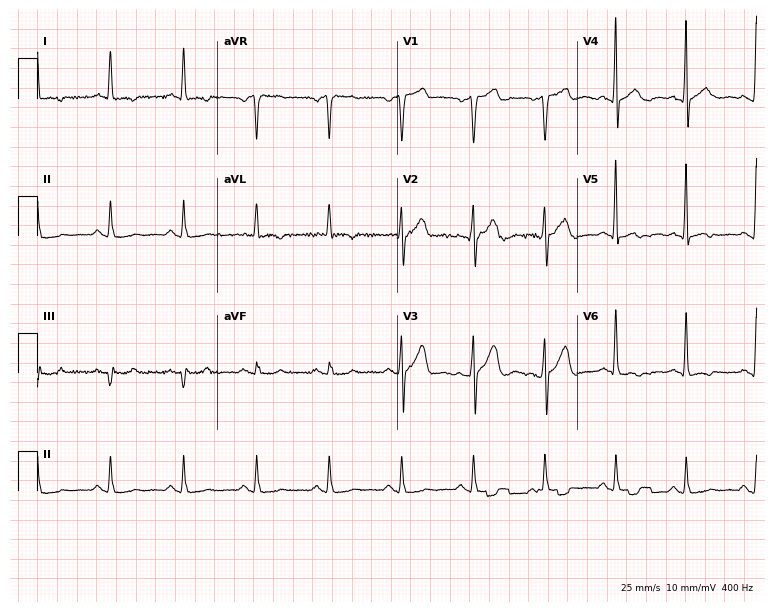
Electrocardiogram (7.3-second recording at 400 Hz), a 56-year-old man. Of the six screened findings (first-degree AV block, right bundle branch block (RBBB), left bundle branch block (LBBB), sinus bradycardia, atrial fibrillation (AF), sinus tachycardia), none is recorded. Findings outside these six are not listed.